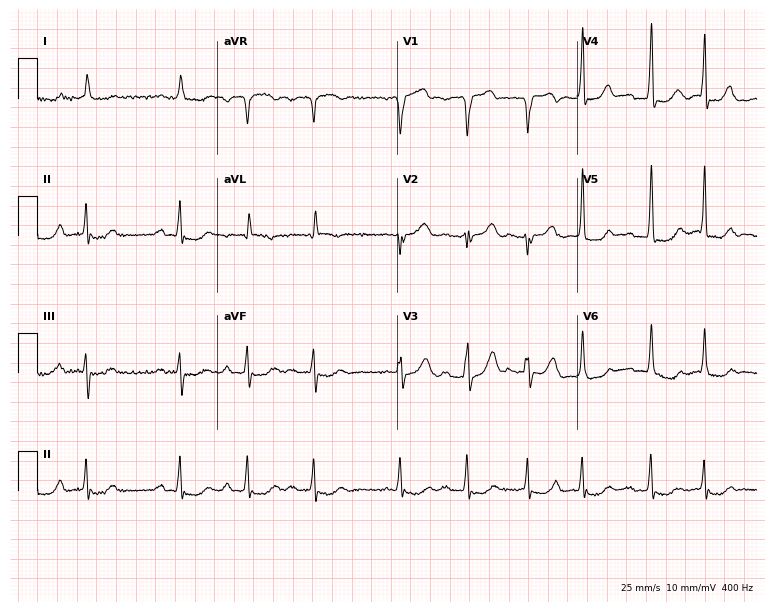
Standard 12-lead ECG recorded from an 84-year-old male patient. None of these six findings is recorded: first-degree AV block, right bundle branch block (RBBB), left bundle branch block (LBBB), sinus bradycardia, atrial fibrillation (AF), sinus tachycardia. Findings outside these six are not listed.